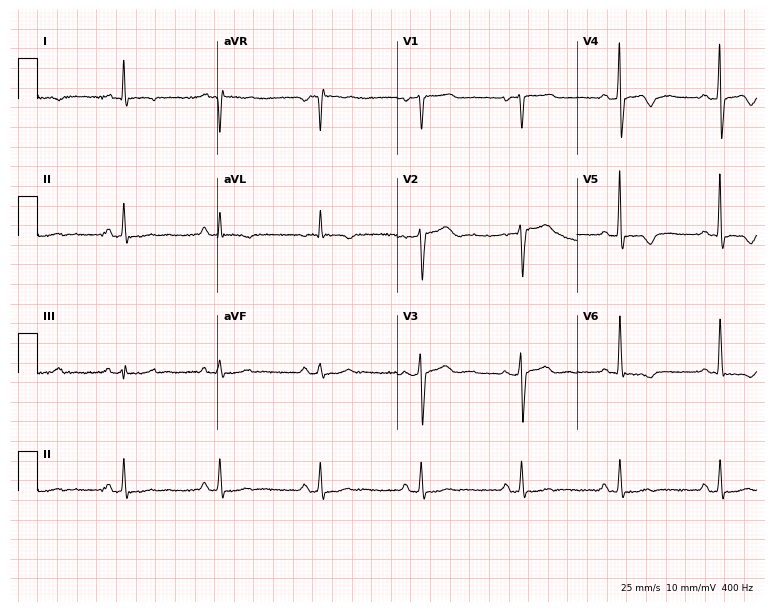
Resting 12-lead electrocardiogram (7.3-second recording at 400 Hz). Patient: a 57-year-old woman. None of these six findings is recorded: first-degree AV block, right bundle branch block, left bundle branch block, sinus bradycardia, atrial fibrillation, sinus tachycardia. Other findings, if any, are not listed.